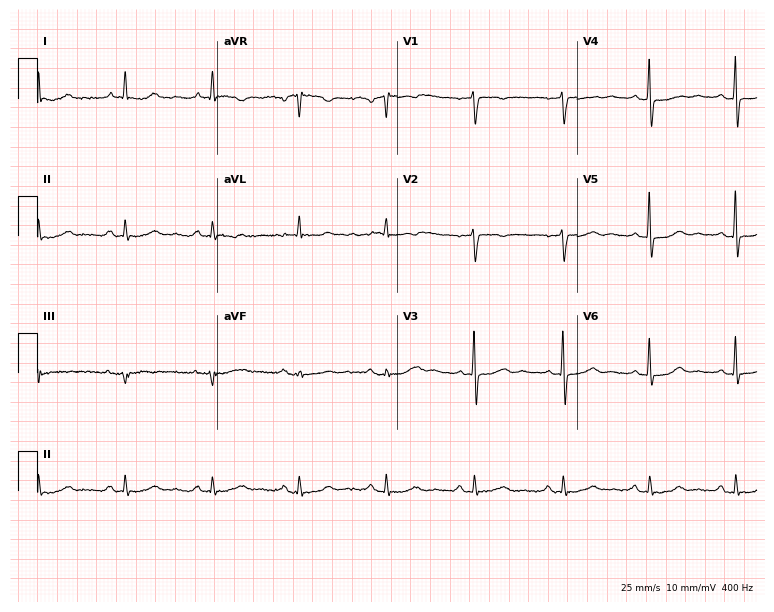
12-lead ECG (7.3-second recording at 400 Hz) from a female patient, 69 years old. Screened for six findings — first-degree AV block, right bundle branch block (RBBB), left bundle branch block (LBBB), sinus bradycardia, atrial fibrillation (AF), sinus tachycardia — none is recorded.